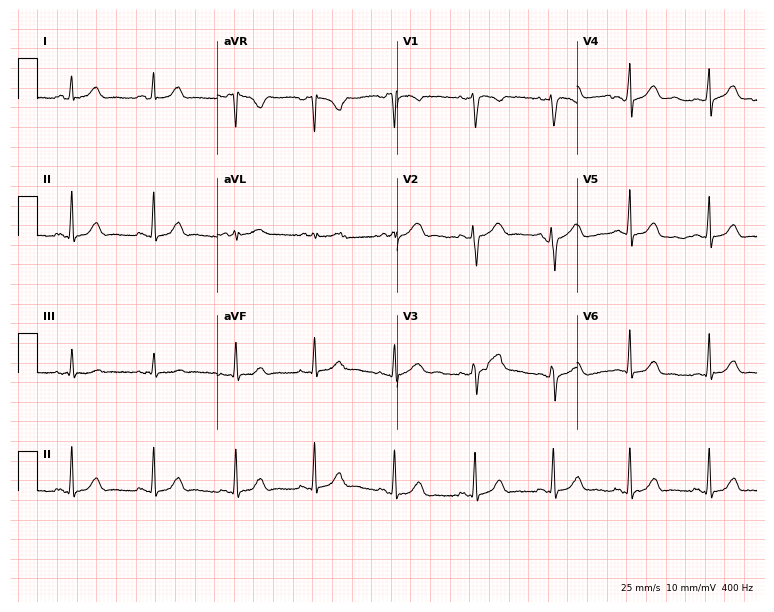
ECG (7.3-second recording at 400 Hz) — a 30-year-old woman. Labelled as a normal ECG.